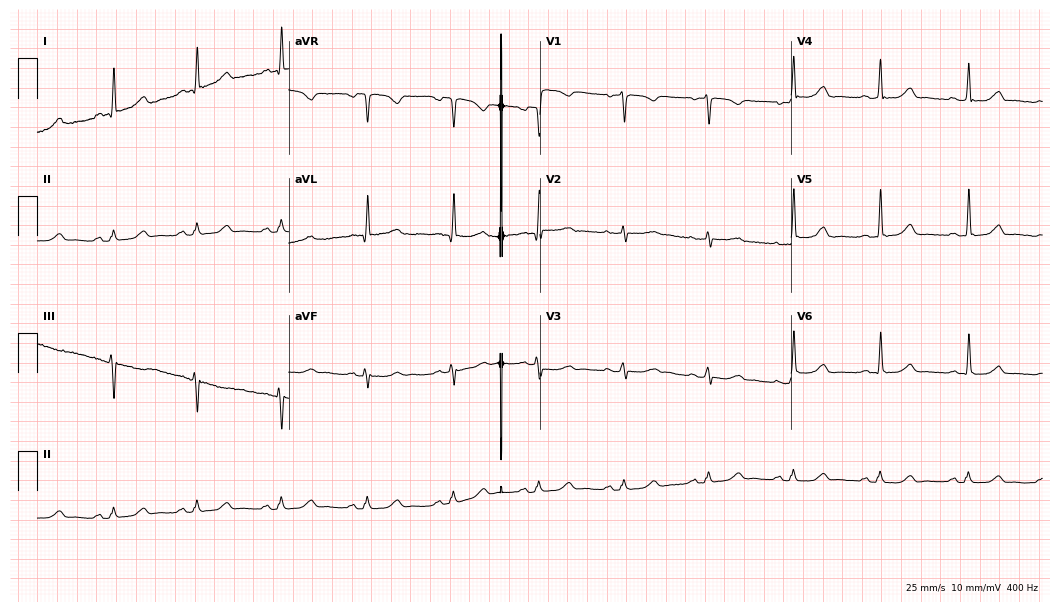
12-lead ECG from a 48-year-old female patient. Labelled as a normal ECG.